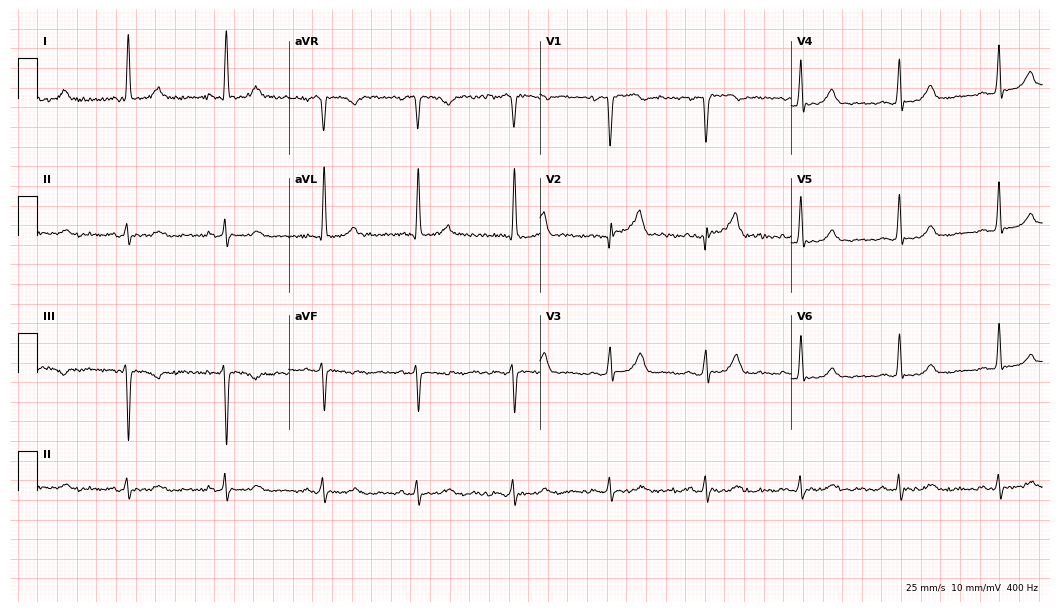
Resting 12-lead electrocardiogram. Patient: a 62-year-old female. None of these six findings is recorded: first-degree AV block, right bundle branch block, left bundle branch block, sinus bradycardia, atrial fibrillation, sinus tachycardia.